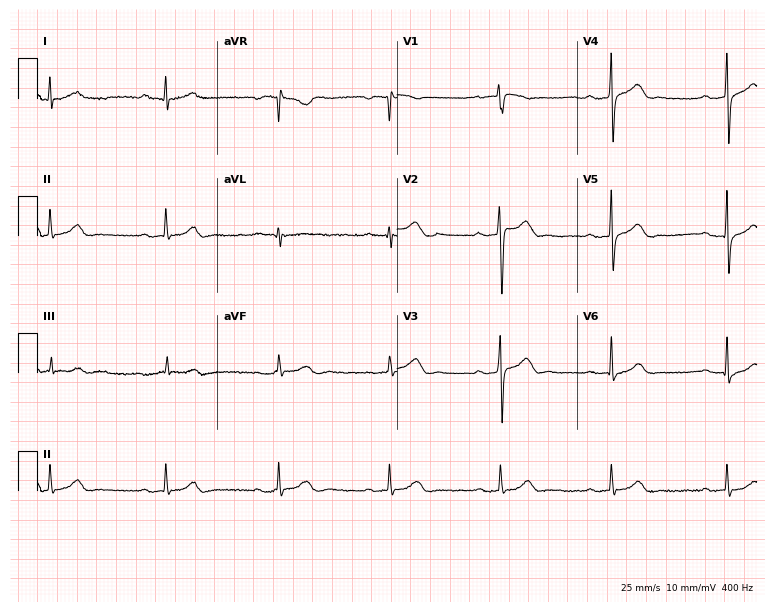
12-lead ECG from a man, 51 years old. Screened for six findings — first-degree AV block, right bundle branch block (RBBB), left bundle branch block (LBBB), sinus bradycardia, atrial fibrillation (AF), sinus tachycardia — none is recorded. Findings outside these six are not listed.